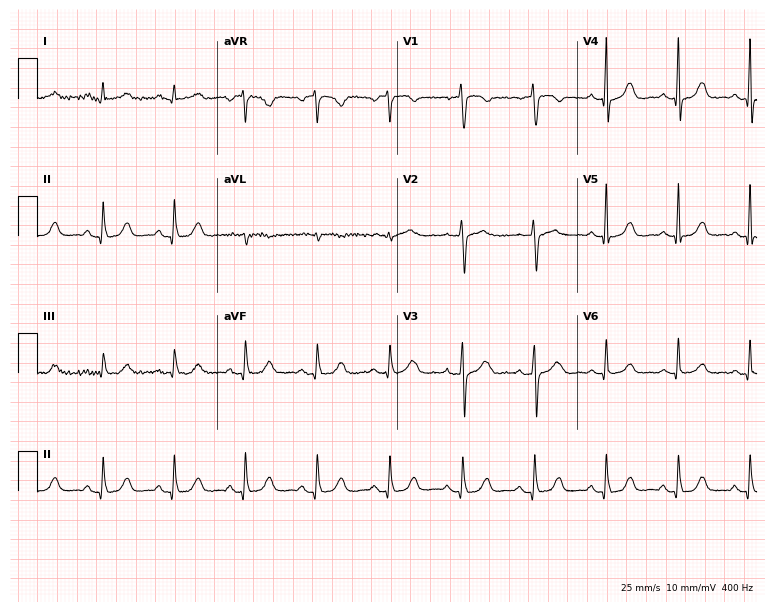
12-lead ECG from a 71-year-old woman (7.3-second recording at 400 Hz). Recorded interpretation: within normal limits.